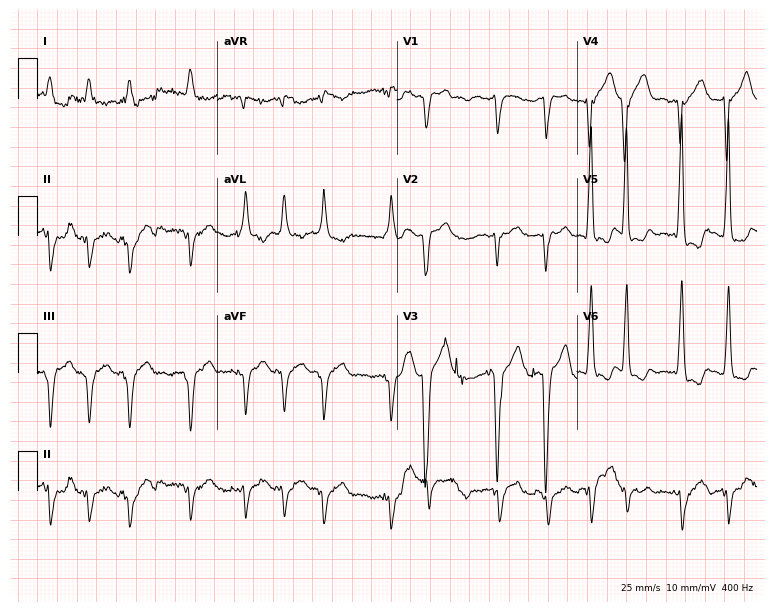
Electrocardiogram (7.3-second recording at 400 Hz), a 70-year-old male patient. Interpretation includes left bundle branch block, atrial fibrillation.